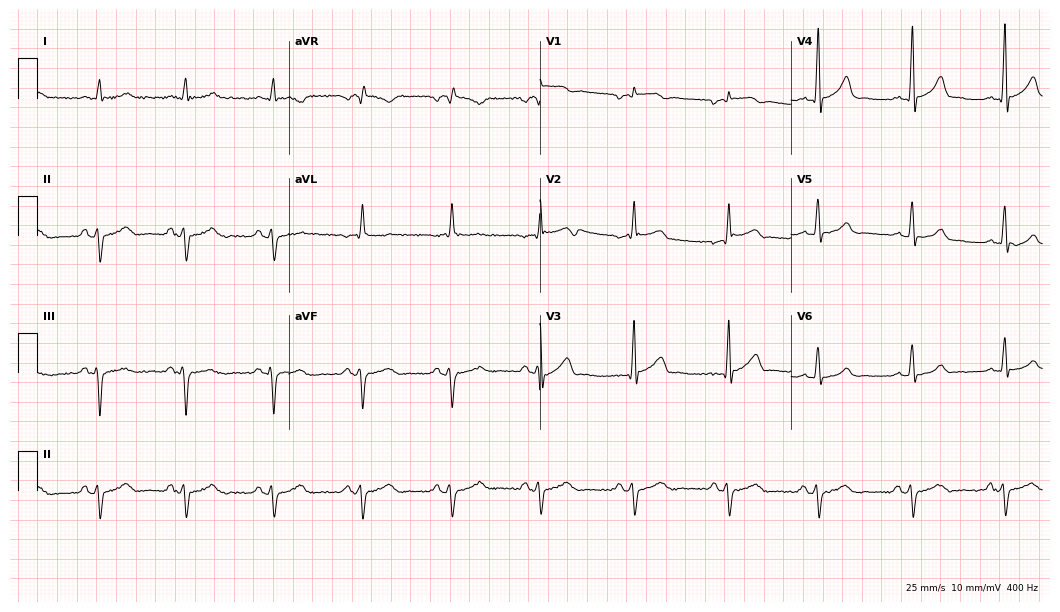
Electrocardiogram (10.2-second recording at 400 Hz), a male, 68 years old. Of the six screened findings (first-degree AV block, right bundle branch block, left bundle branch block, sinus bradycardia, atrial fibrillation, sinus tachycardia), none is recorded.